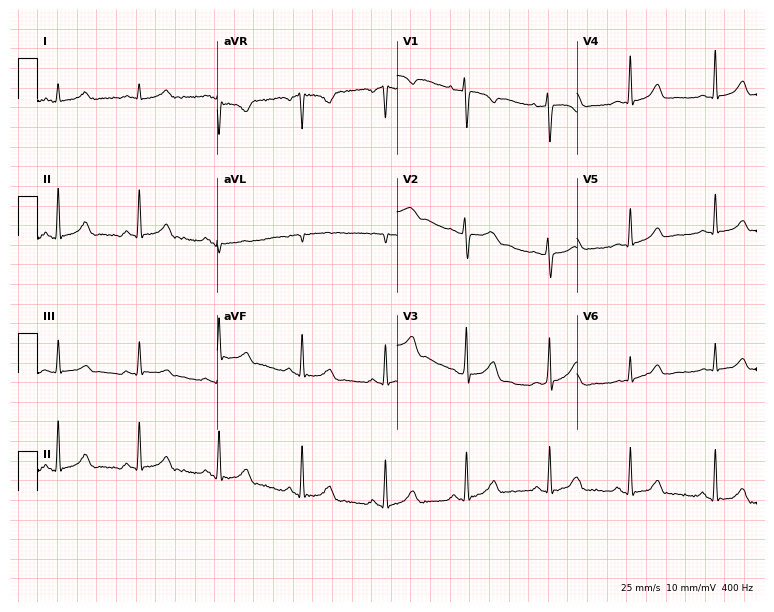
ECG (7.3-second recording at 400 Hz) — a 21-year-old female. Screened for six findings — first-degree AV block, right bundle branch block (RBBB), left bundle branch block (LBBB), sinus bradycardia, atrial fibrillation (AF), sinus tachycardia — none is recorded. Only these six findings were labelled.